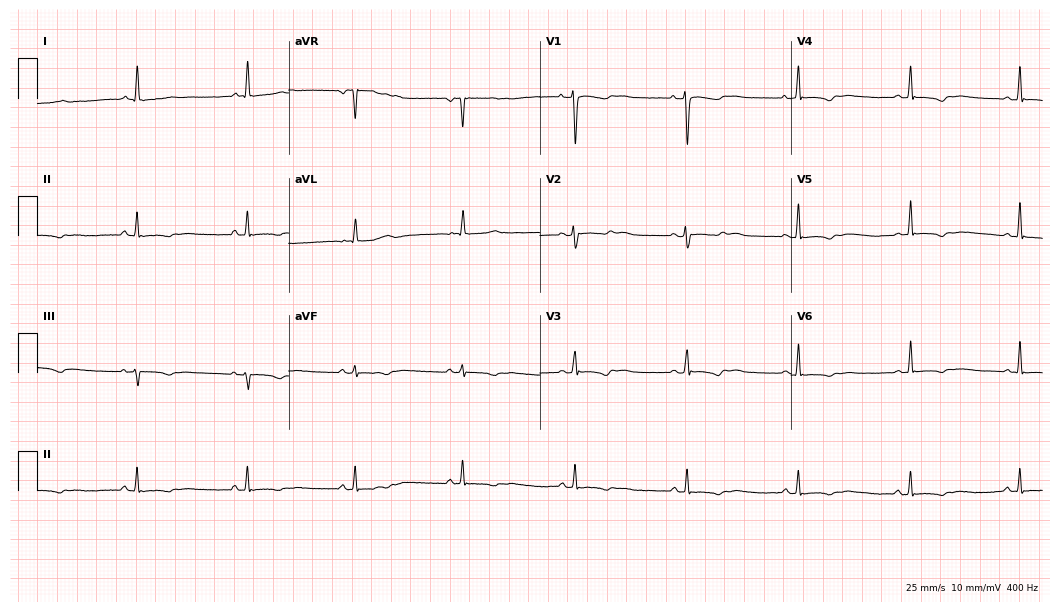
12-lead ECG from a 32-year-old woman. Screened for six findings — first-degree AV block, right bundle branch block (RBBB), left bundle branch block (LBBB), sinus bradycardia, atrial fibrillation (AF), sinus tachycardia — none is recorded.